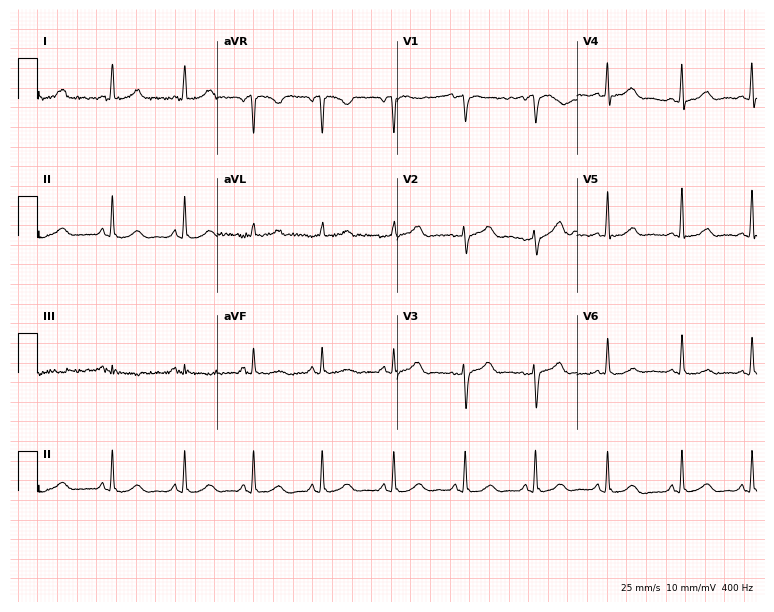
ECG (7.3-second recording at 400 Hz) — a female, 51 years old. Labelled as a normal ECG.